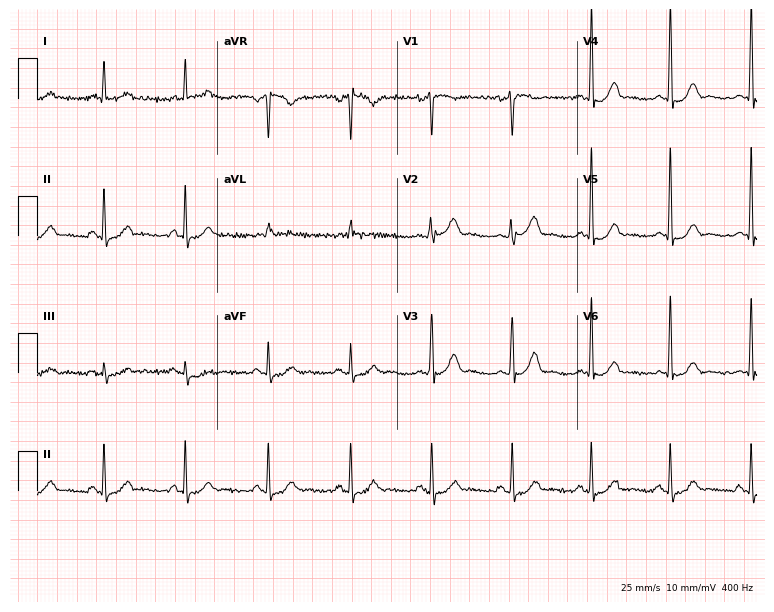
Electrocardiogram (7.3-second recording at 400 Hz), a man, 57 years old. Overall reading on record: normal ECG.